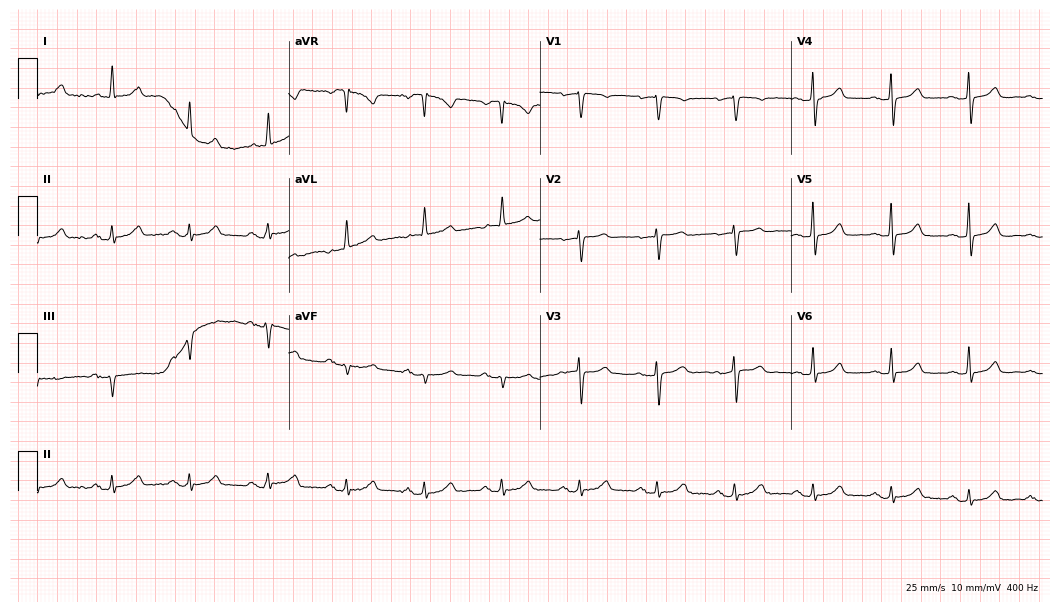
Standard 12-lead ECG recorded from an 83-year-old female. Read as a normal ECG.